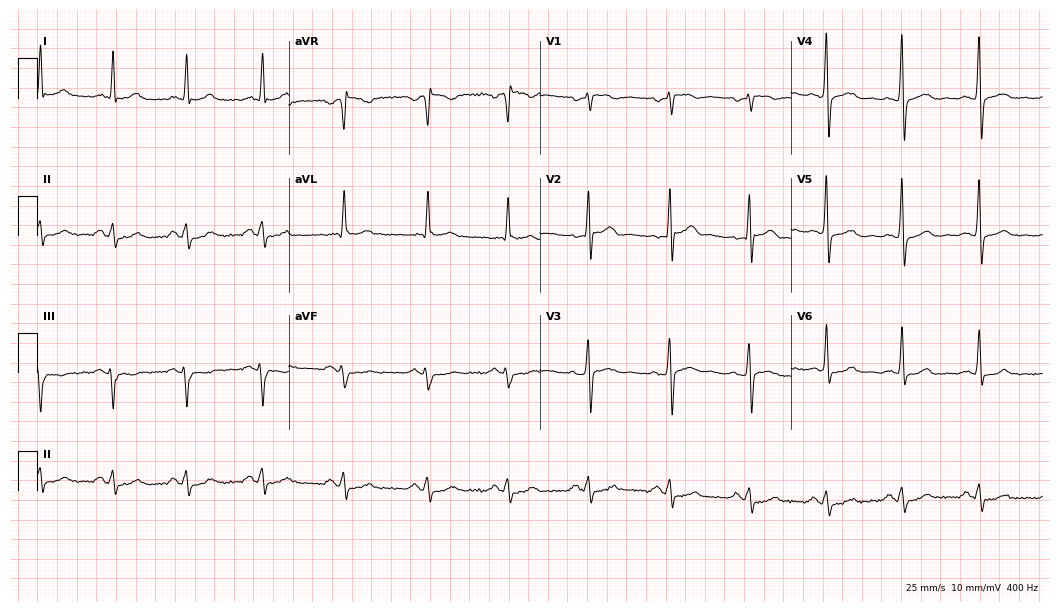
ECG — a 44-year-old male. Screened for six findings — first-degree AV block, right bundle branch block, left bundle branch block, sinus bradycardia, atrial fibrillation, sinus tachycardia — none is recorded.